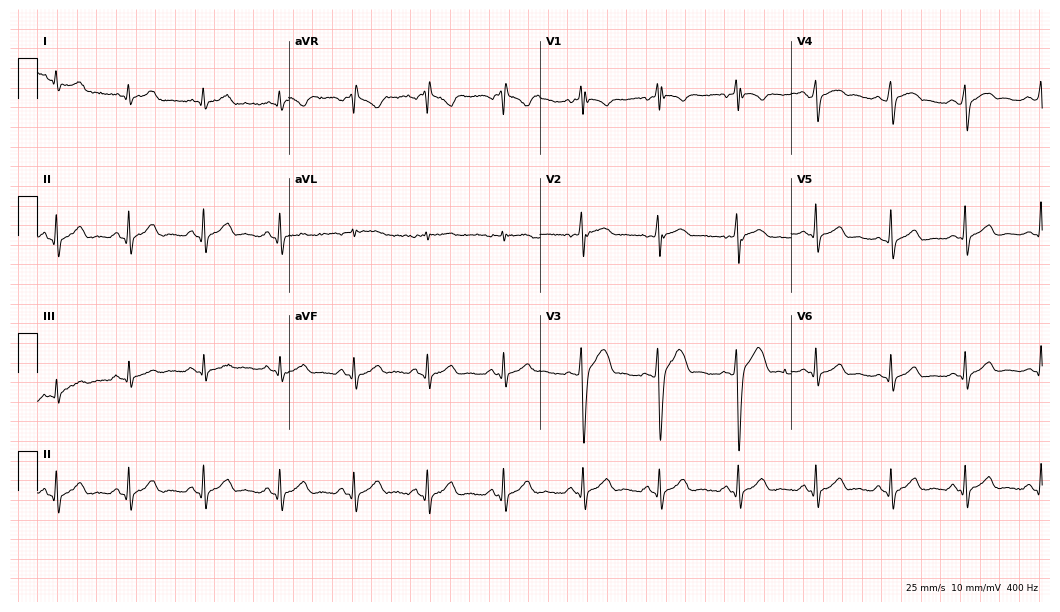
Standard 12-lead ECG recorded from a 25-year-old male patient. Read as a normal ECG.